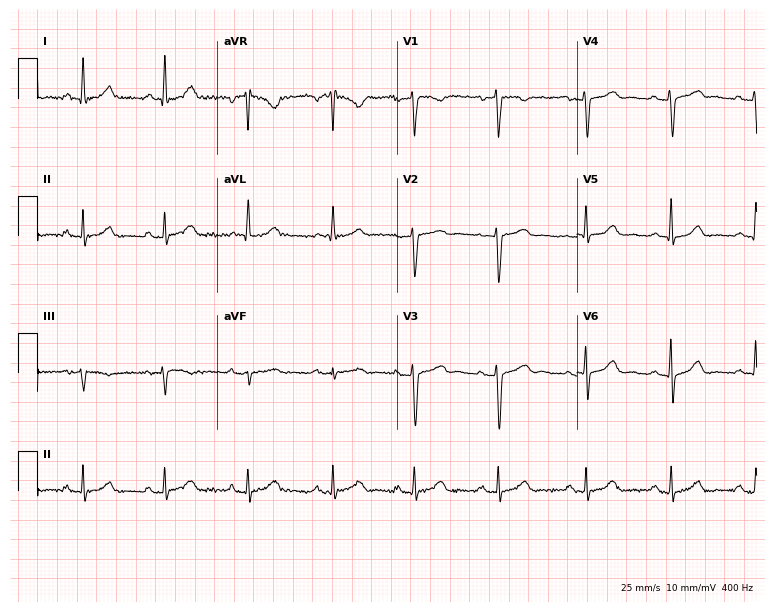
Standard 12-lead ECG recorded from a 50-year-old female (7.3-second recording at 400 Hz). Read as a normal ECG.